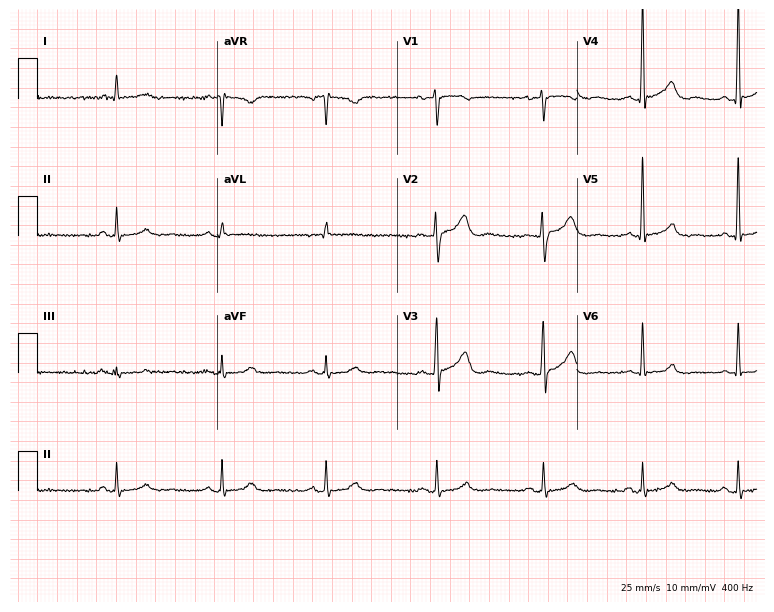
ECG — a 57-year-old male. Labelled as a normal ECG.